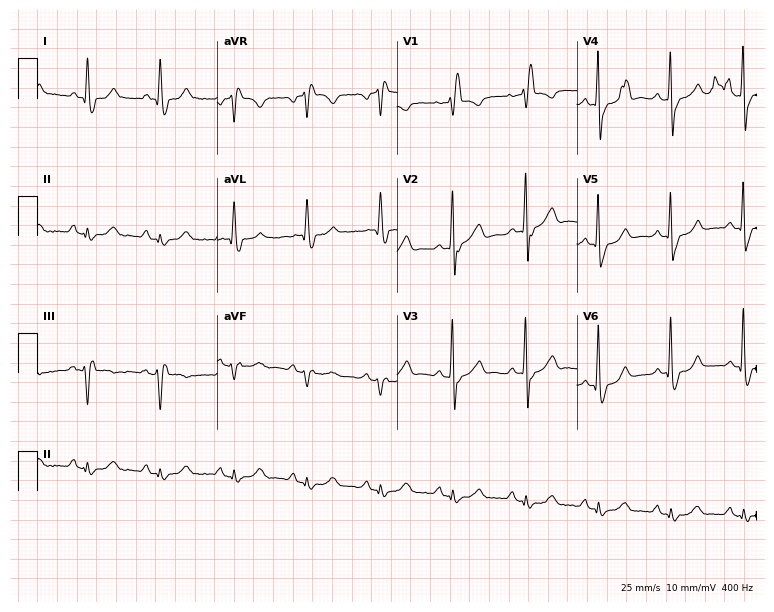
Resting 12-lead electrocardiogram (7.3-second recording at 400 Hz). Patient: an 81-year-old male. The tracing shows right bundle branch block.